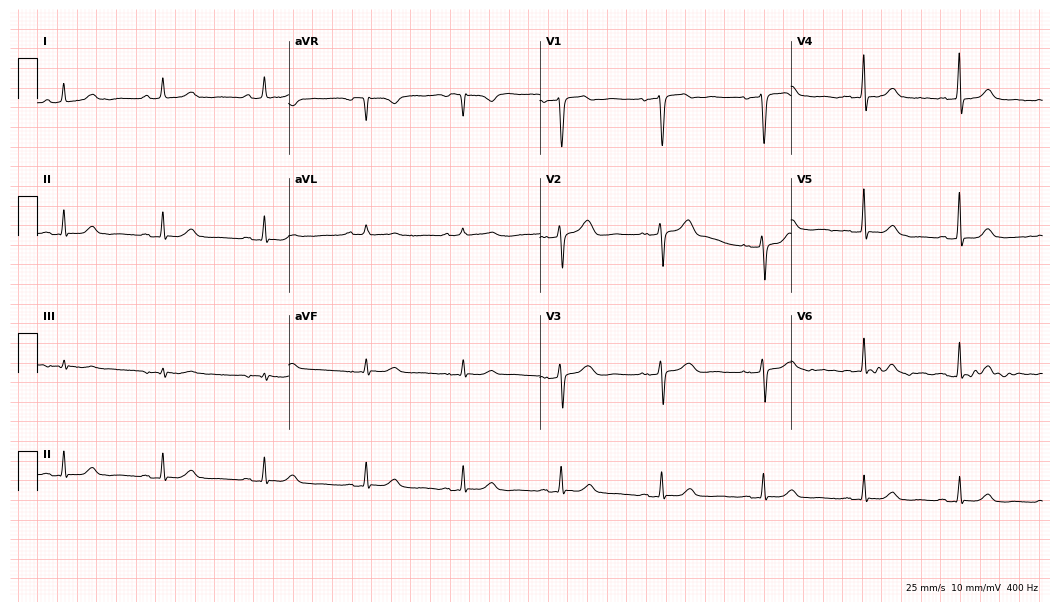
Resting 12-lead electrocardiogram (10.2-second recording at 400 Hz). Patient: a woman, 70 years old. Read as a normal ECG.